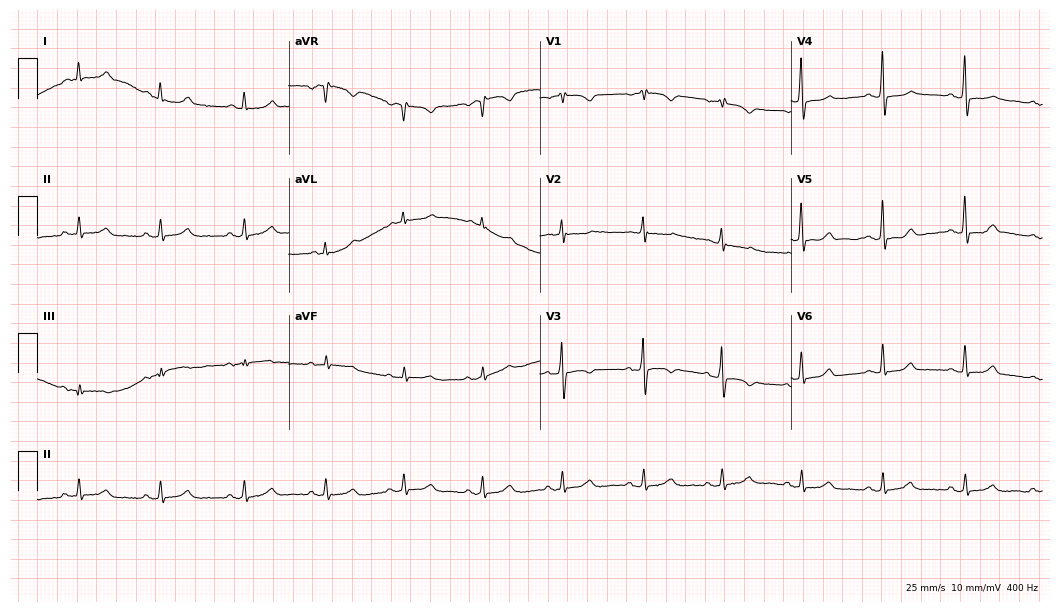
12-lead ECG from a female patient, 69 years old. Screened for six findings — first-degree AV block, right bundle branch block (RBBB), left bundle branch block (LBBB), sinus bradycardia, atrial fibrillation (AF), sinus tachycardia — none is recorded. Only these six findings were labelled.